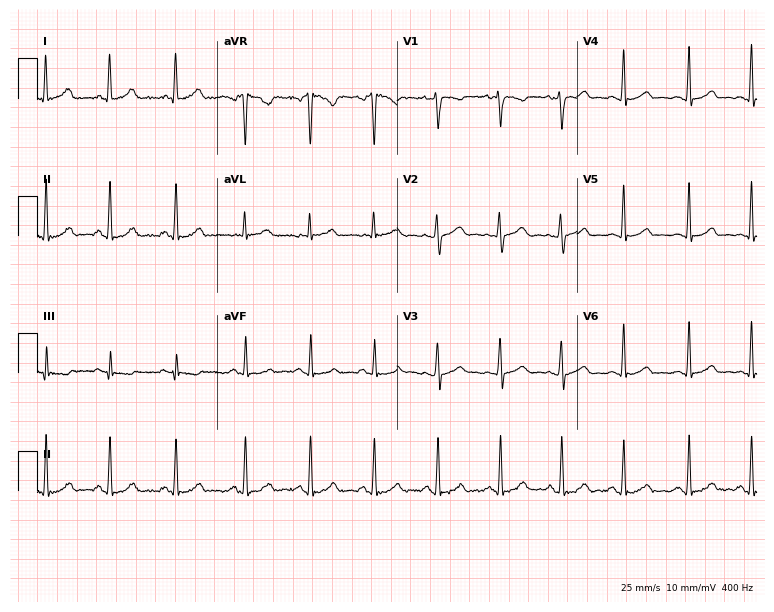
12-lead ECG from a 25-year-old female. No first-degree AV block, right bundle branch block, left bundle branch block, sinus bradycardia, atrial fibrillation or sinus tachycardia recorded for this tracing. Only these six findings were labelled.